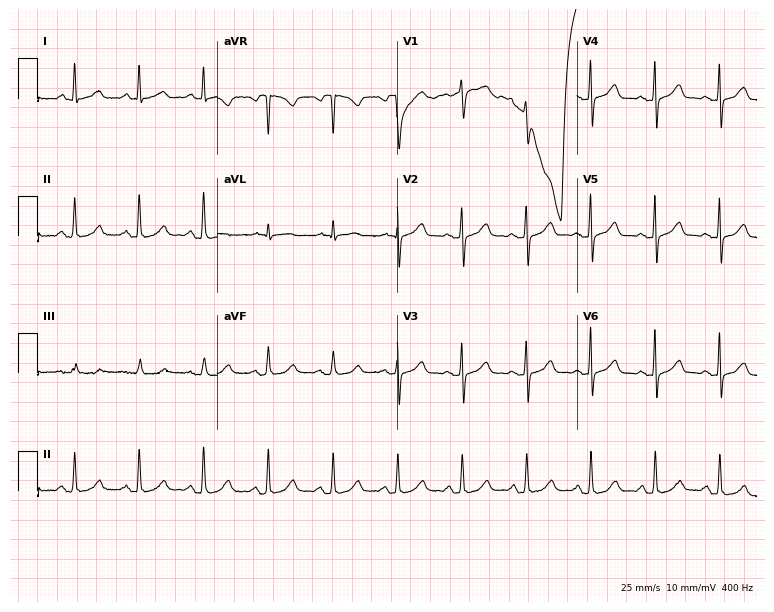
Standard 12-lead ECG recorded from a female, 69 years old (7.3-second recording at 400 Hz). Read as a normal ECG.